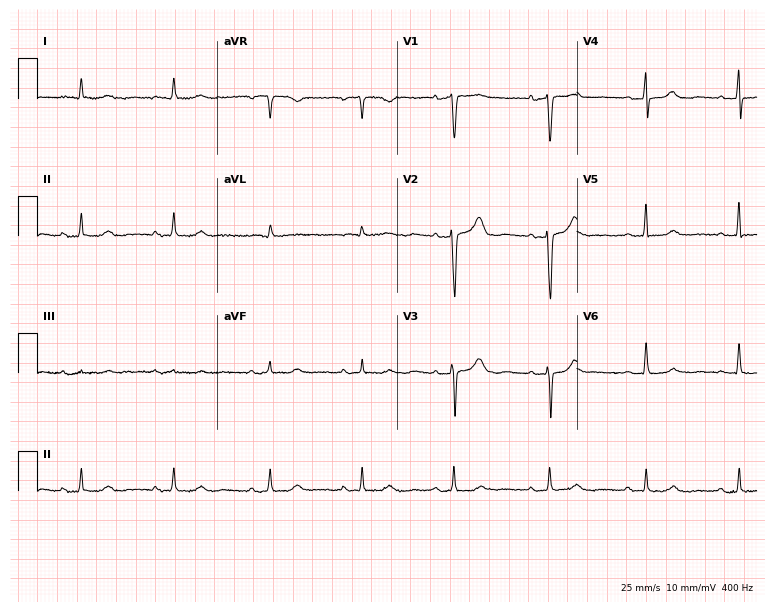
ECG — a 76-year-old woman. Screened for six findings — first-degree AV block, right bundle branch block (RBBB), left bundle branch block (LBBB), sinus bradycardia, atrial fibrillation (AF), sinus tachycardia — none is recorded.